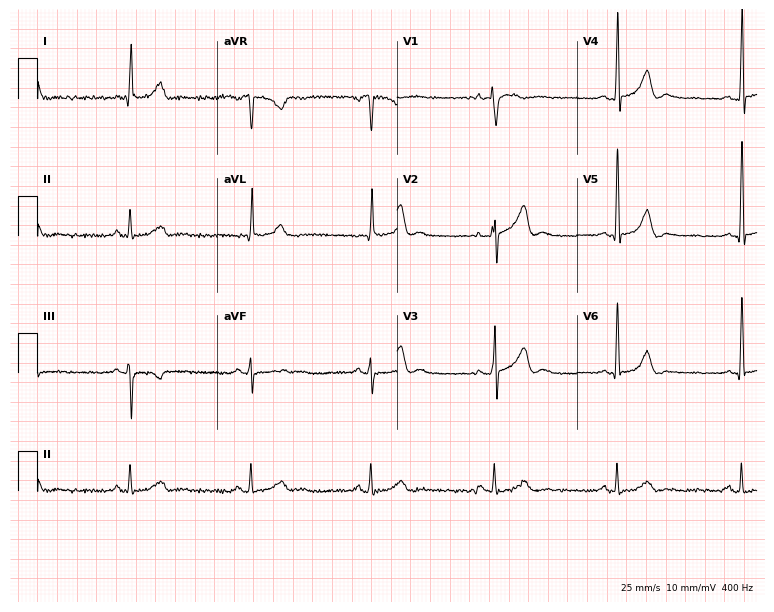
ECG (7.3-second recording at 400 Hz) — a 70-year-old male patient. Screened for six findings — first-degree AV block, right bundle branch block (RBBB), left bundle branch block (LBBB), sinus bradycardia, atrial fibrillation (AF), sinus tachycardia — none is recorded.